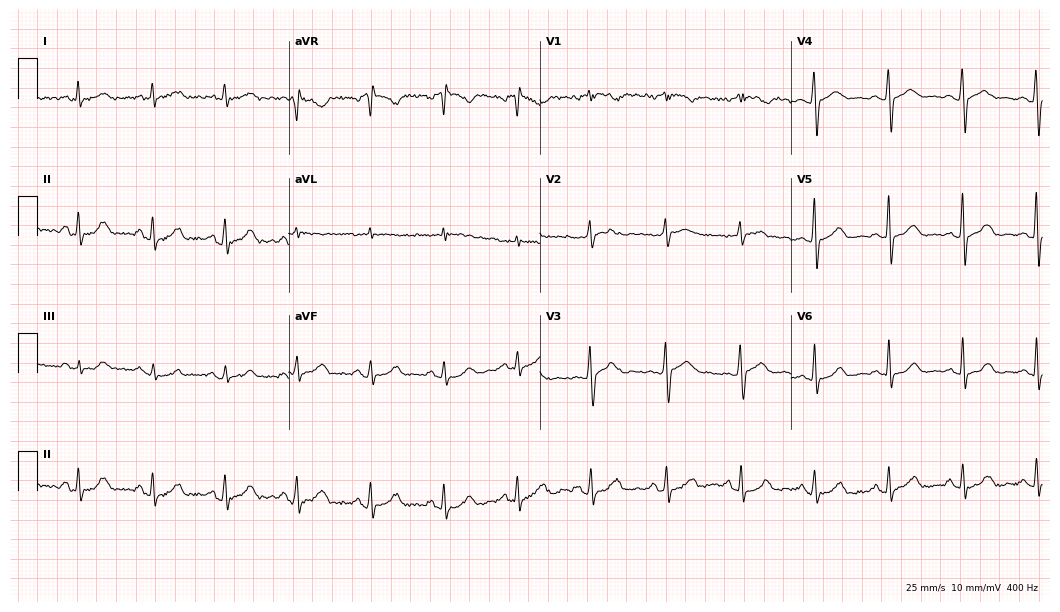
12-lead ECG from a 46-year-old female. No first-degree AV block, right bundle branch block (RBBB), left bundle branch block (LBBB), sinus bradycardia, atrial fibrillation (AF) or sinus tachycardia recorded for this tracing. Findings outside these six are not listed.